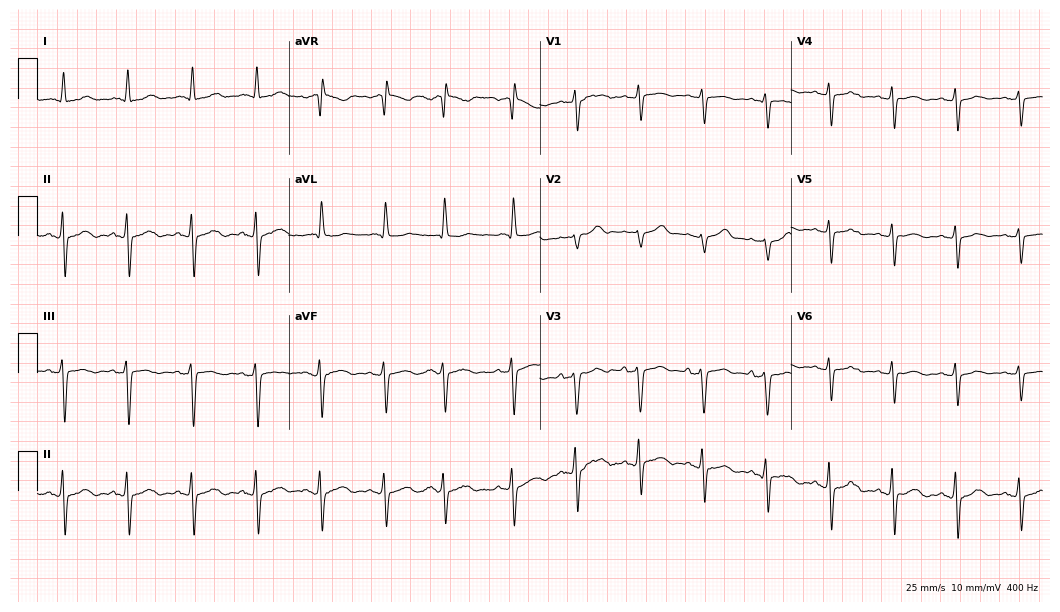
Electrocardiogram, a man, 69 years old. Of the six screened findings (first-degree AV block, right bundle branch block (RBBB), left bundle branch block (LBBB), sinus bradycardia, atrial fibrillation (AF), sinus tachycardia), none is recorded.